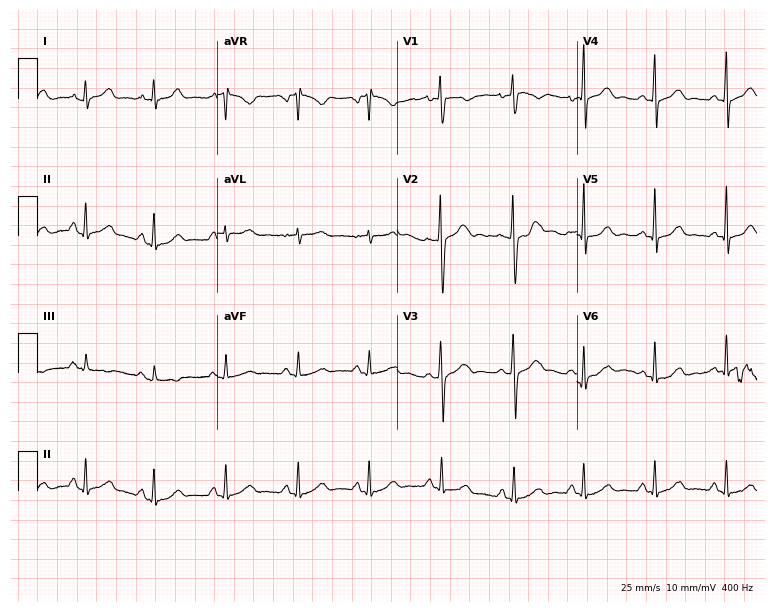
12-lead ECG (7.3-second recording at 400 Hz) from a 31-year-old female. Labelled as a normal ECG.